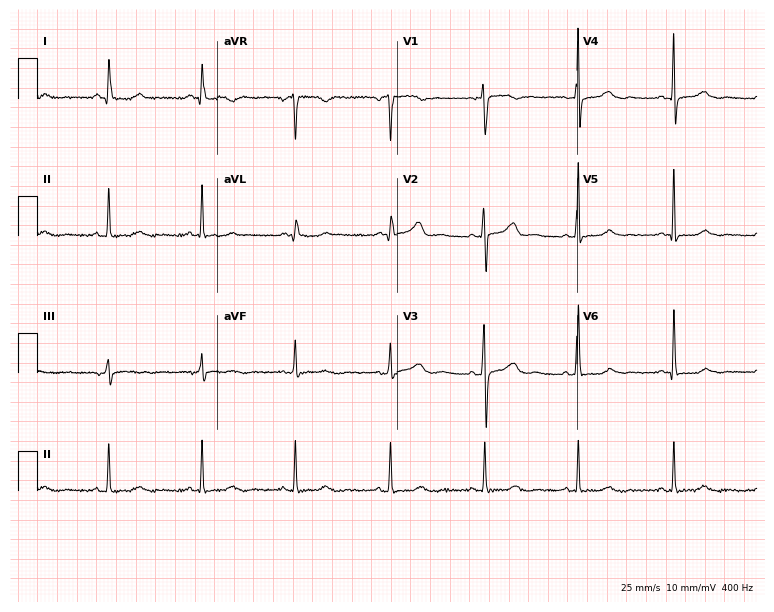
12-lead ECG from a 57-year-old woman. No first-degree AV block, right bundle branch block, left bundle branch block, sinus bradycardia, atrial fibrillation or sinus tachycardia recorded for this tracing.